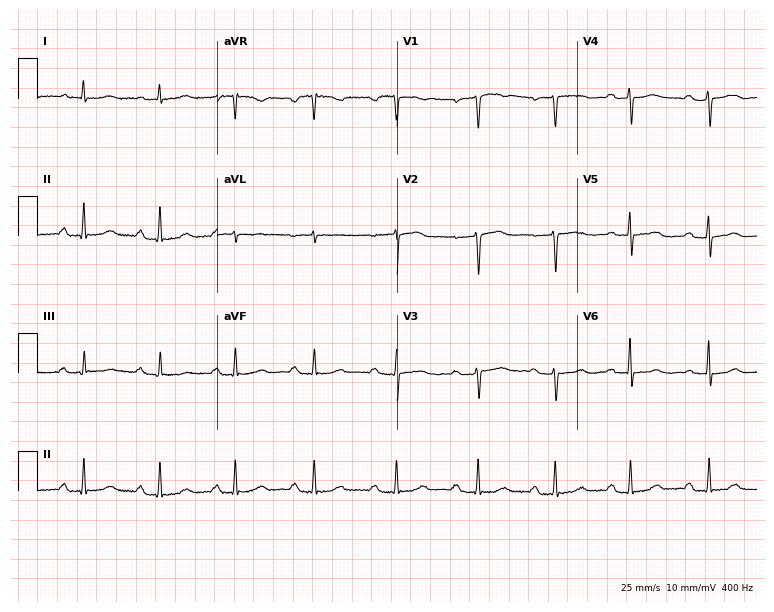
Electrocardiogram, a 52-year-old female. Interpretation includes first-degree AV block.